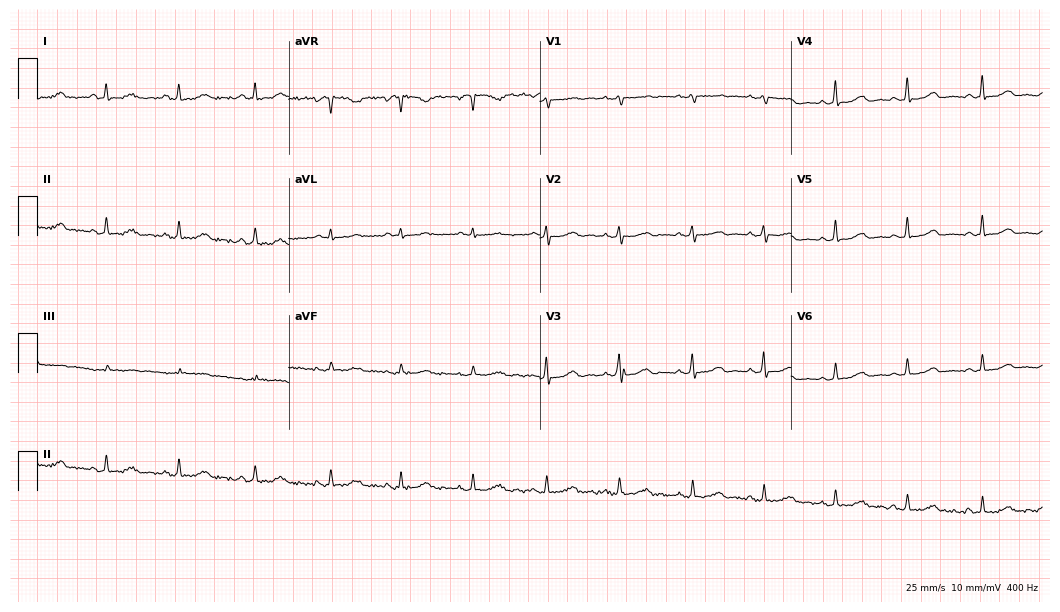
Standard 12-lead ECG recorded from a female patient, 51 years old. Read as a normal ECG.